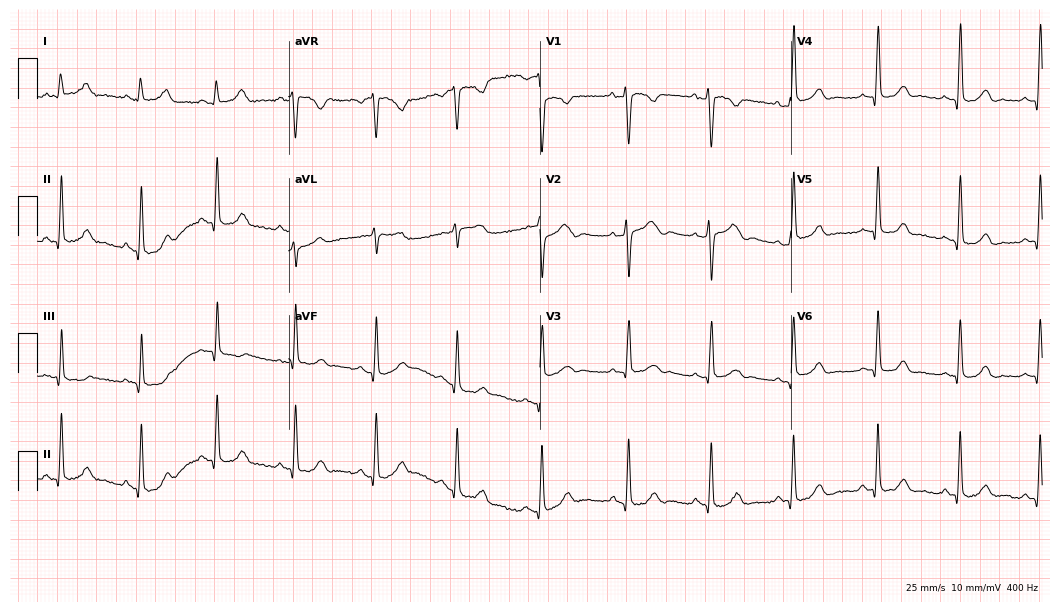
Standard 12-lead ECG recorded from a female, 38 years old. None of these six findings is recorded: first-degree AV block, right bundle branch block (RBBB), left bundle branch block (LBBB), sinus bradycardia, atrial fibrillation (AF), sinus tachycardia. Other findings, if any, are not listed.